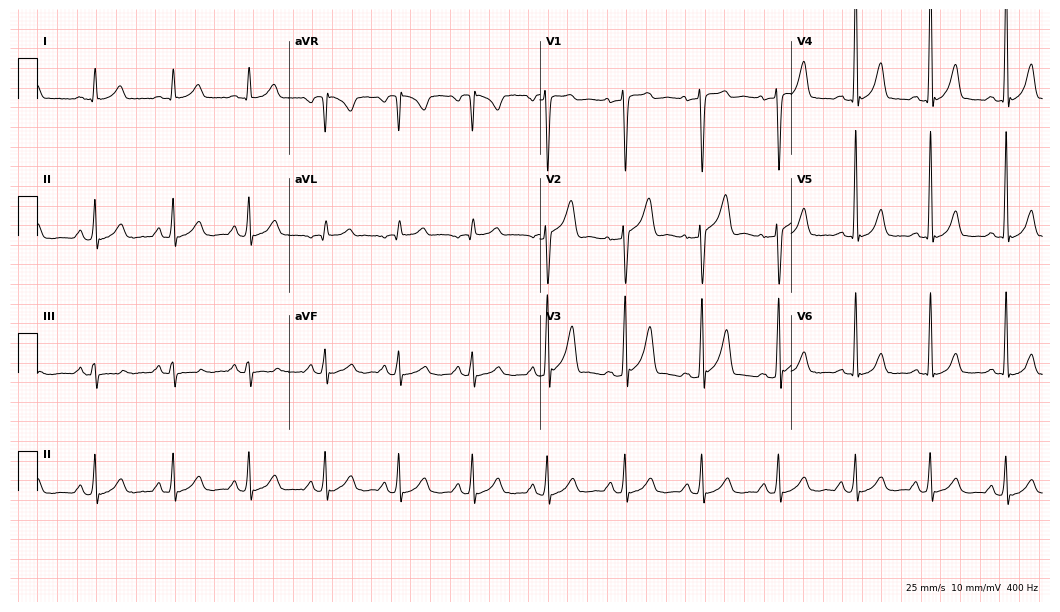
Resting 12-lead electrocardiogram (10.2-second recording at 400 Hz). Patient: a 51-year-old male. Read as a normal ECG.